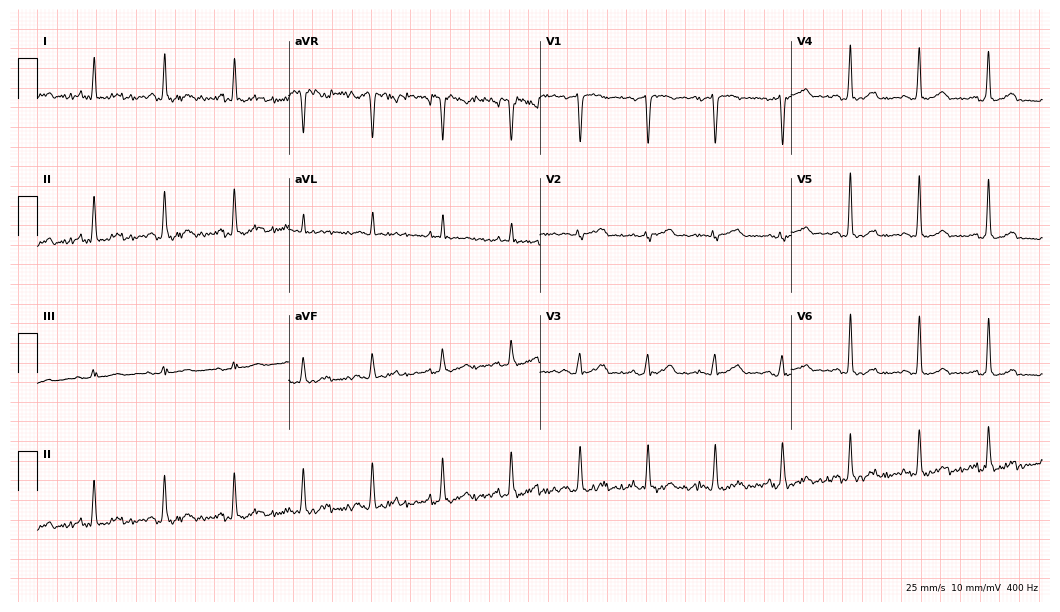
Electrocardiogram, a 52-year-old female patient. Overall reading on record: normal ECG.